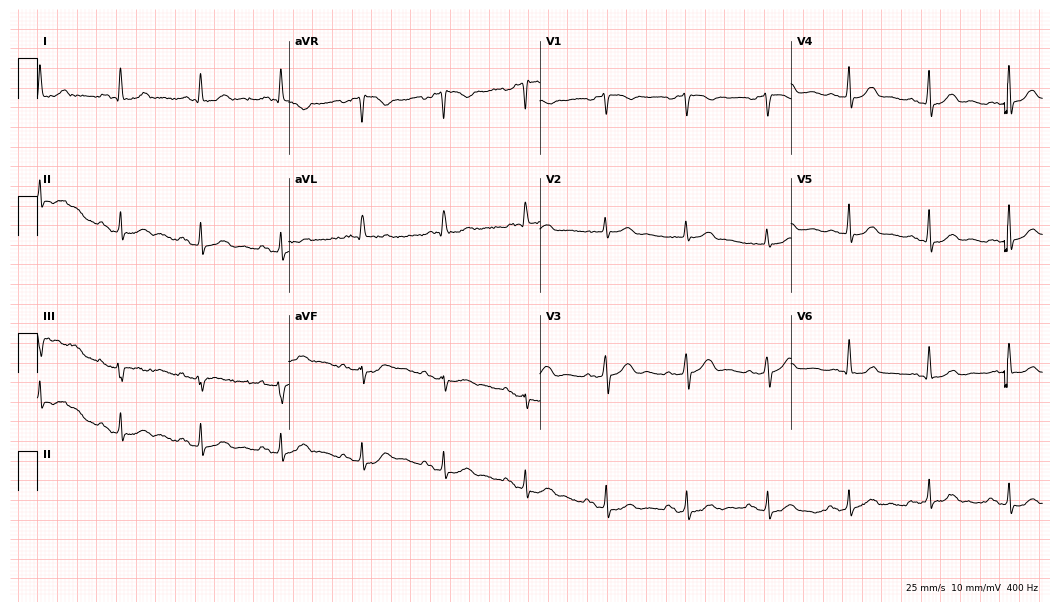
Resting 12-lead electrocardiogram. Patient: a female, 82 years old. None of these six findings is recorded: first-degree AV block, right bundle branch block, left bundle branch block, sinus bradycardia, atrial fibrillation, sinus tachycardia. Findings outside these six are not listed.